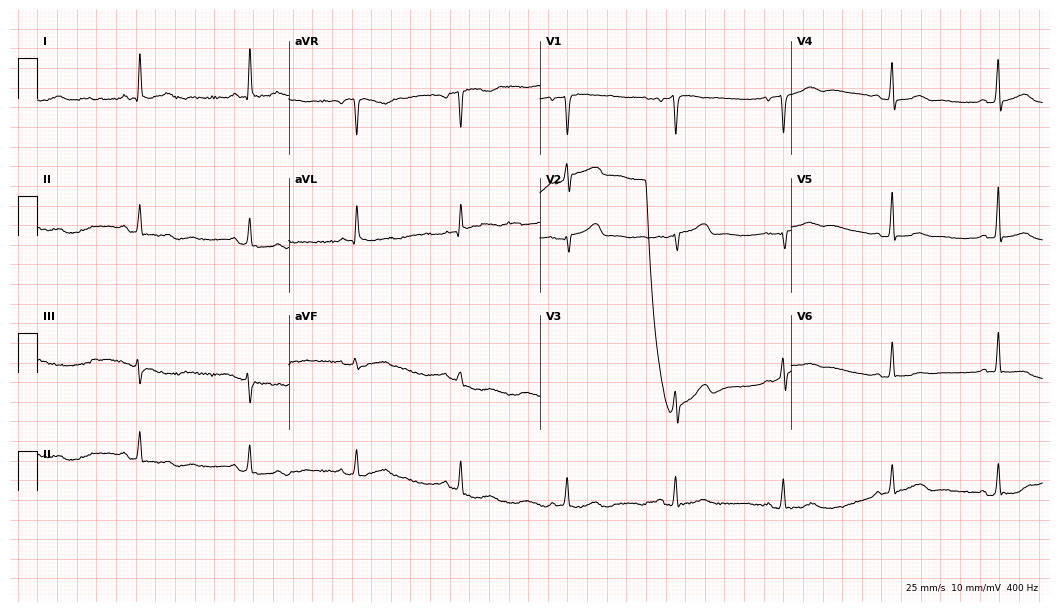
12-lead ECG from a female patient, 75 years old. Recorded interpretation: within normal limits.